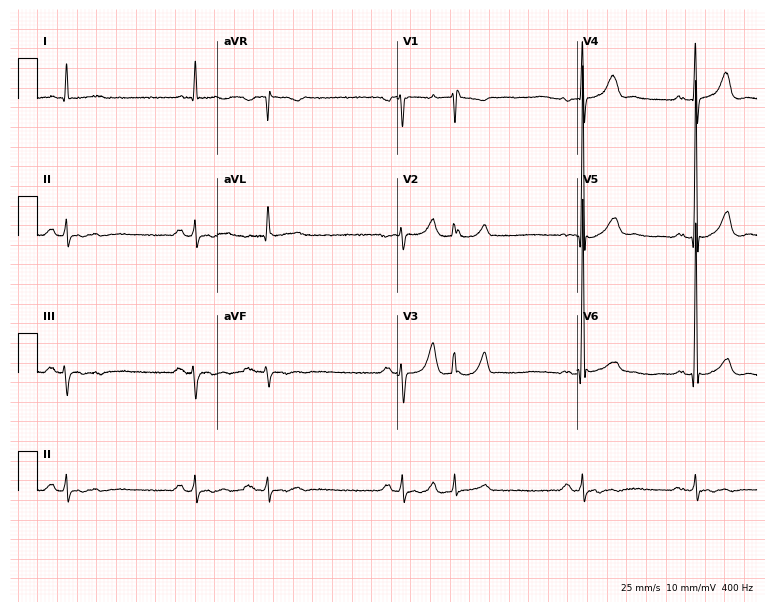
12-lead ECG from a male, 78 years old. Screened for six findings — first-degree AV block, right bundle branch block, left bundle branch block, sinus bradycardia, atrial fibrillation, sinus tachycardia — none is recorded. Only these six findings were labelled.